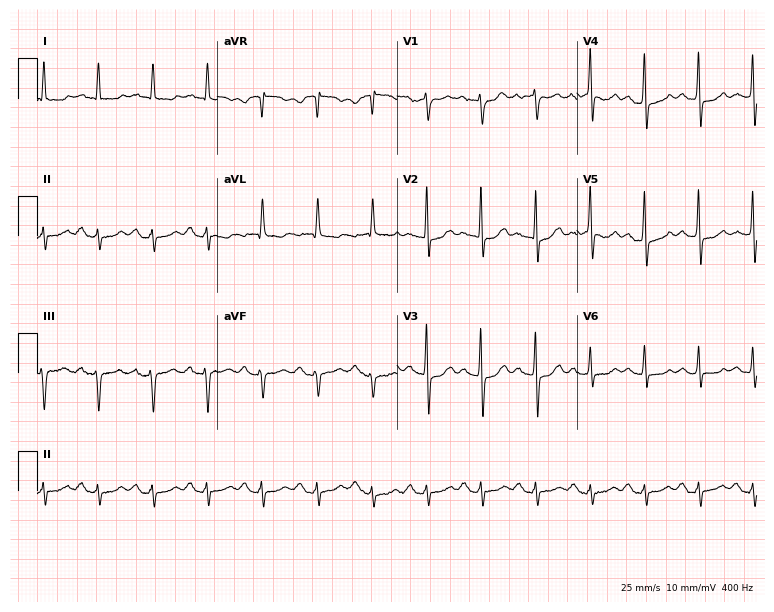
Resting 12-lead electrocardiogram (7.3-second recording at 400 Hz). Patient: an 84-year-old male. None of these six findings is recorded: first-degree AV block, right bundle branch block, left bundle branch block, sinus bradycardia, atrial fibrillation, sinus tachycardia. Findings outside these six are not listed.